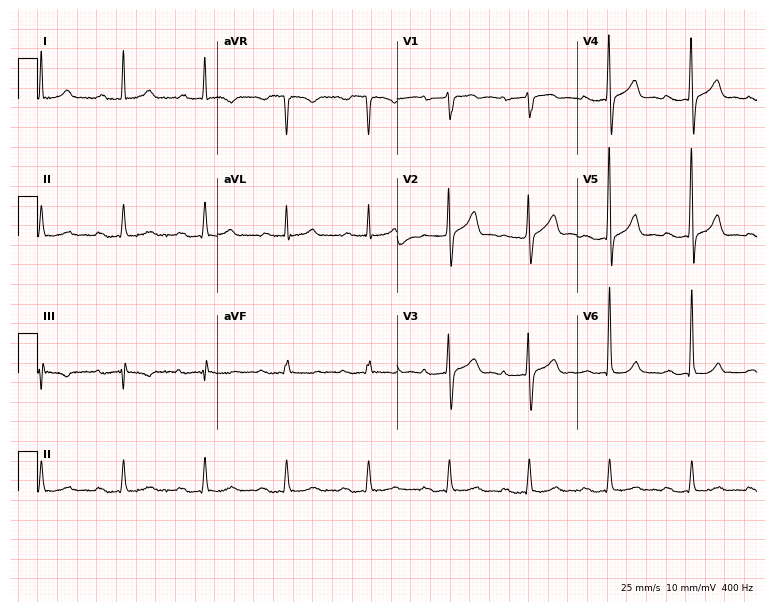
ECG (7.3-second recording at 400 Hz) — an 81-year-old male patient. Labelled as a normal ECG.